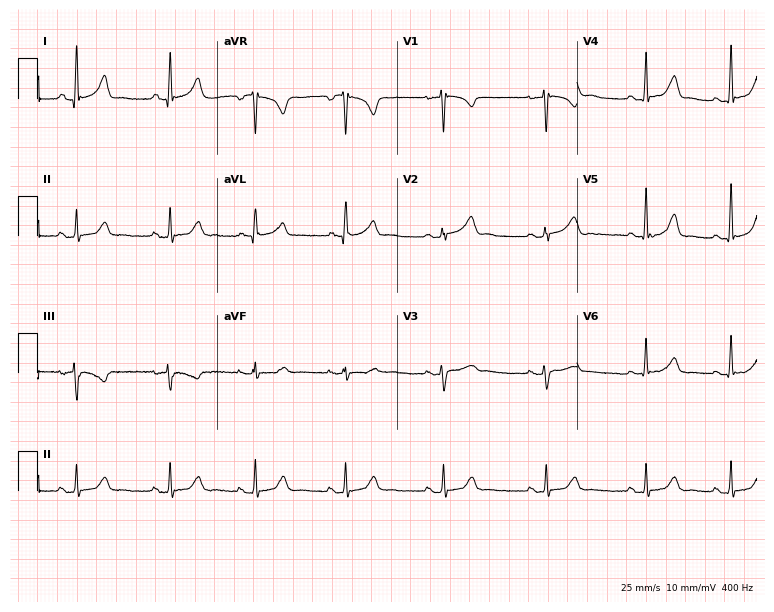
Standard 12-lead ECG recorded from a 28-year-old female patient (7.3-second recording at 400 Hz). Read as a normal ECG.